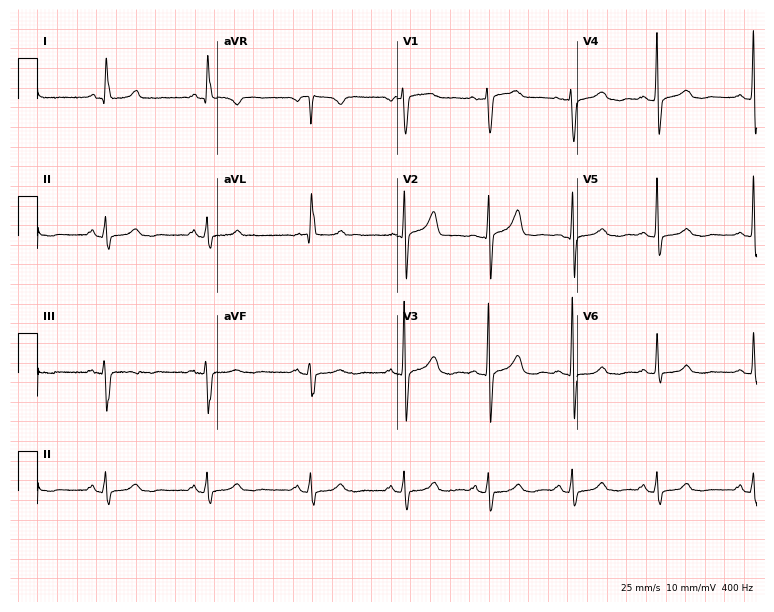
Standard 12-lead ECG recorded from a female, 78 years old. Read as a normal ECG.